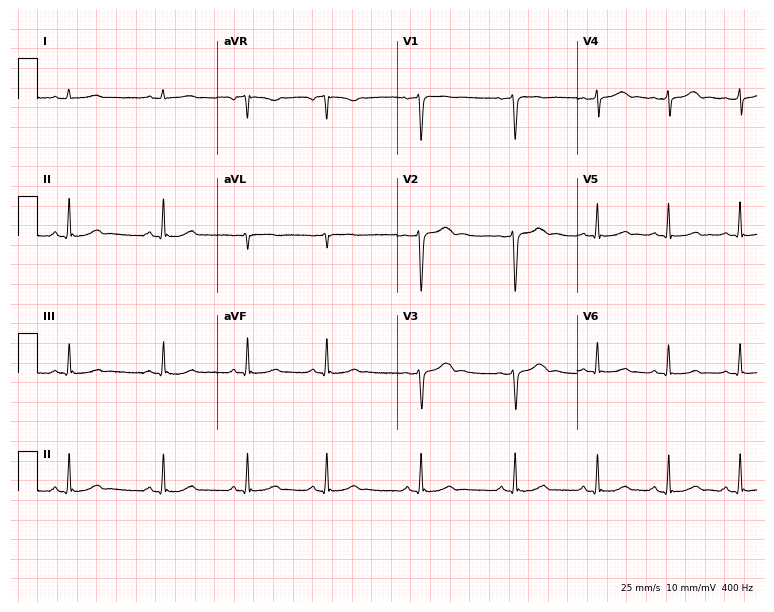
Resting 12-lead electrocardiogram (7.3-second recording at 400 Hz). Patient: a 29-year-old female. Read as a normal ECG.